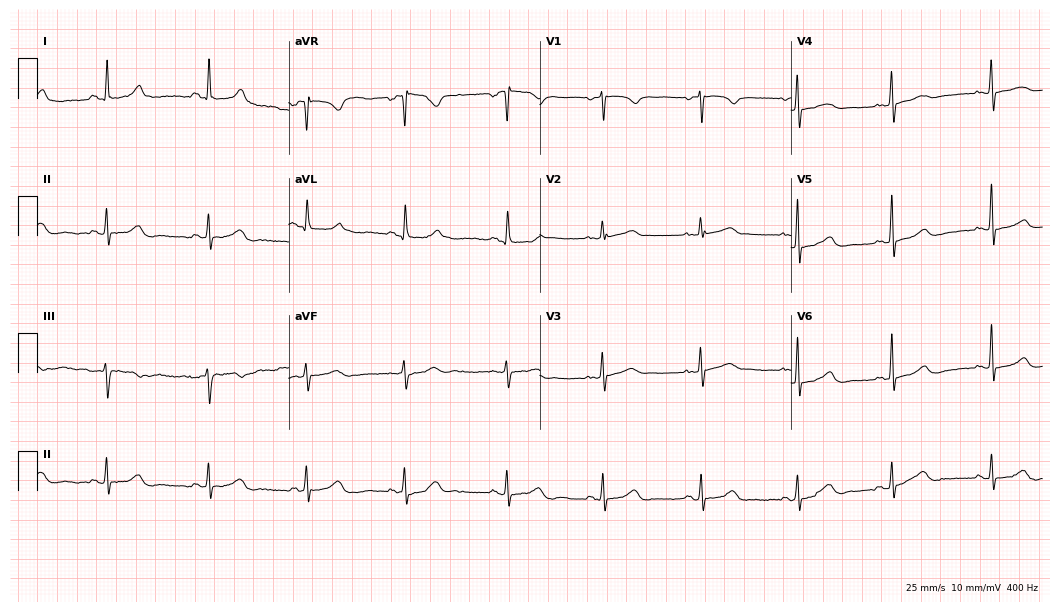
12-lead ECG from a 54-year-old female. Labelled as a normal ECG.